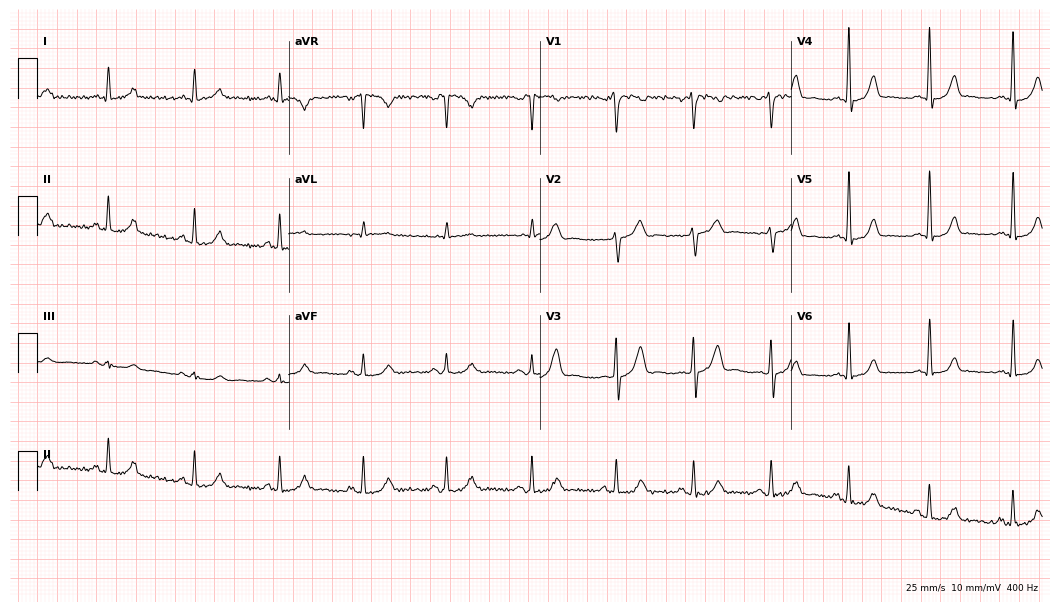
ECG (10.2-second recording at 400 Hz) — a man, 53 years old. Screened for six findings — first-degree AV block, right bundle branch block (RBBB), left bundle branch block (LBBB), sinus bradycardia, atrial fibrillation (AF), sinus tachycardia — none is recorded.